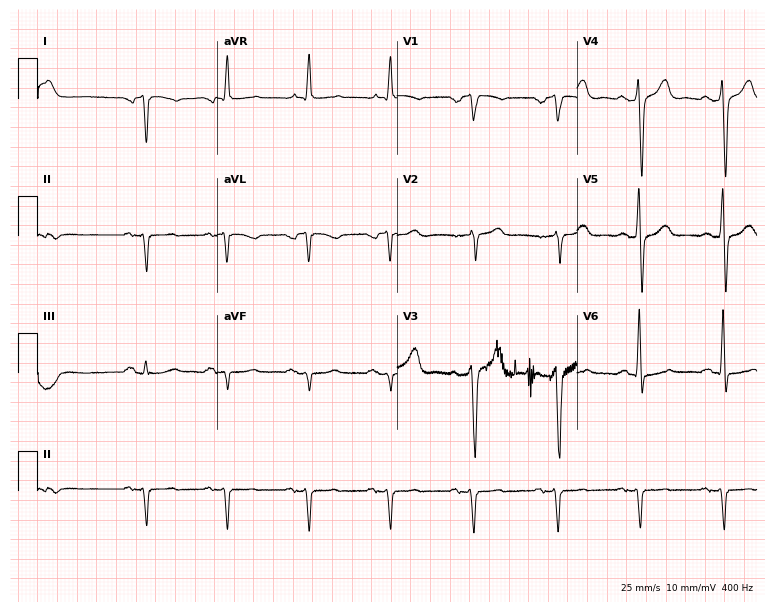
12-lead ECG from a 69-year-old male patient. No first-degree AV block, right bundle branch block (RBBB), left bundle branch block (LBBB), sinus bradycardia, atrial fibrillation (AF) or sinus tachycardia recorded for this tracing. Findings outside these six are not listed.